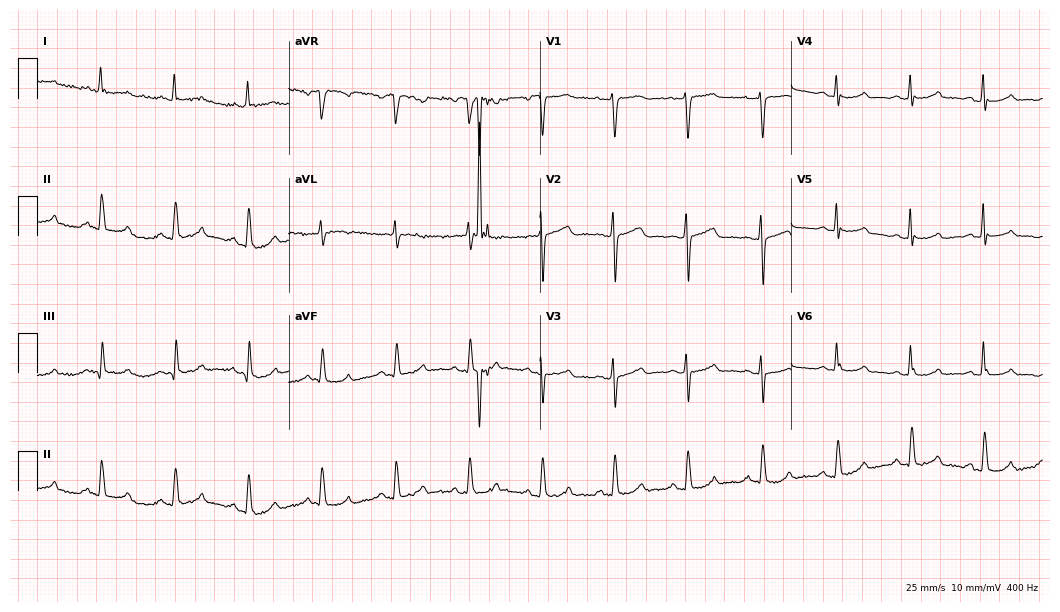
ECG — a 55-year-old woman. Screened for six findings — first-degree AV block, right bundle branch block, left bundle branch block, sinus bradycardia, atrial fibrillation, sinus tachycardia — none is recorded.